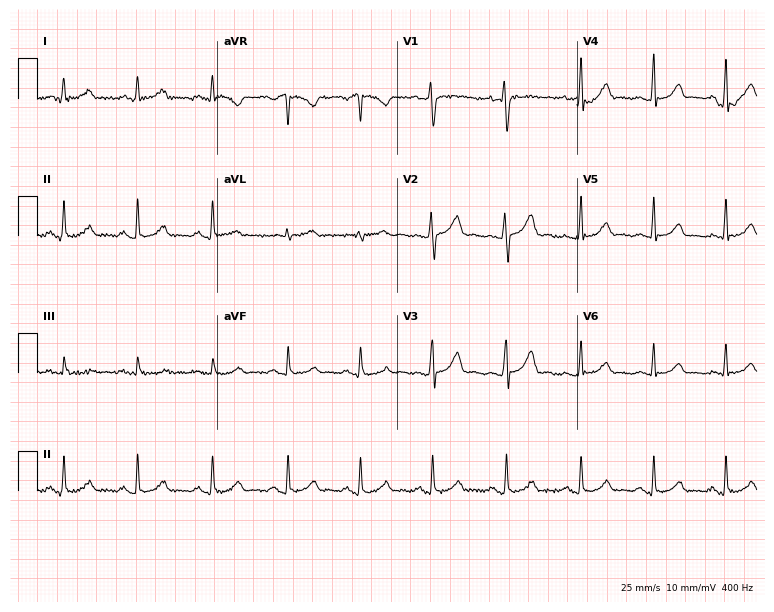
12-lead ECG from a 34-year-old female patient. Recorded interpretation: within normal limits.